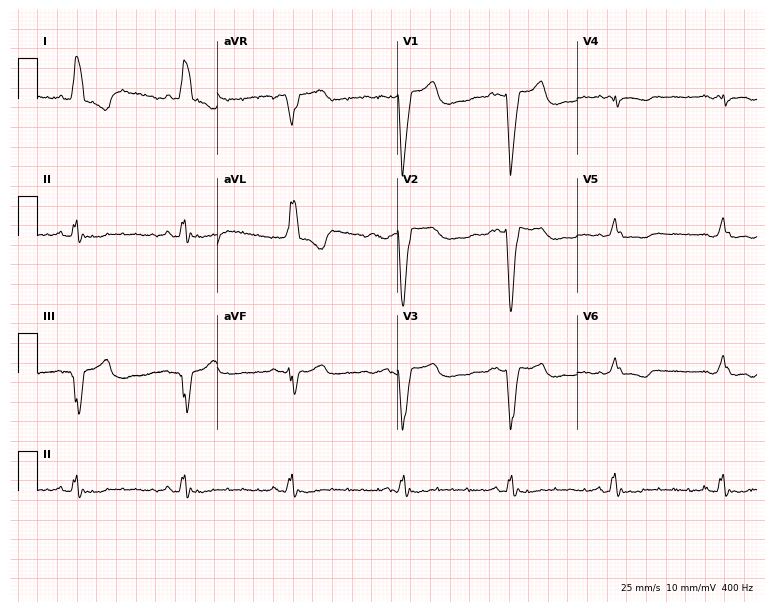
ECG — a 69-year-old female patient. Screened for six findings — first-degree AV block, right bundle branch block, left bundle branch block, sinus bradycardia, atrial fibrillation, sinus tachycardia — none is recorded.